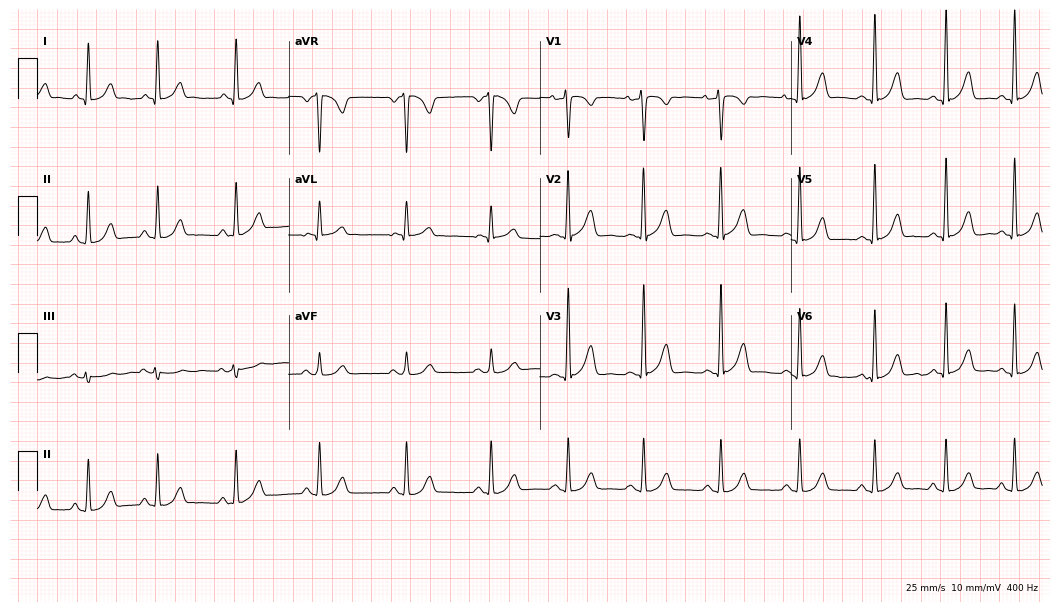
ECG (10.2-second recording at 400 Hz) — a 32-year-old female. Labelled as a normal ECG.